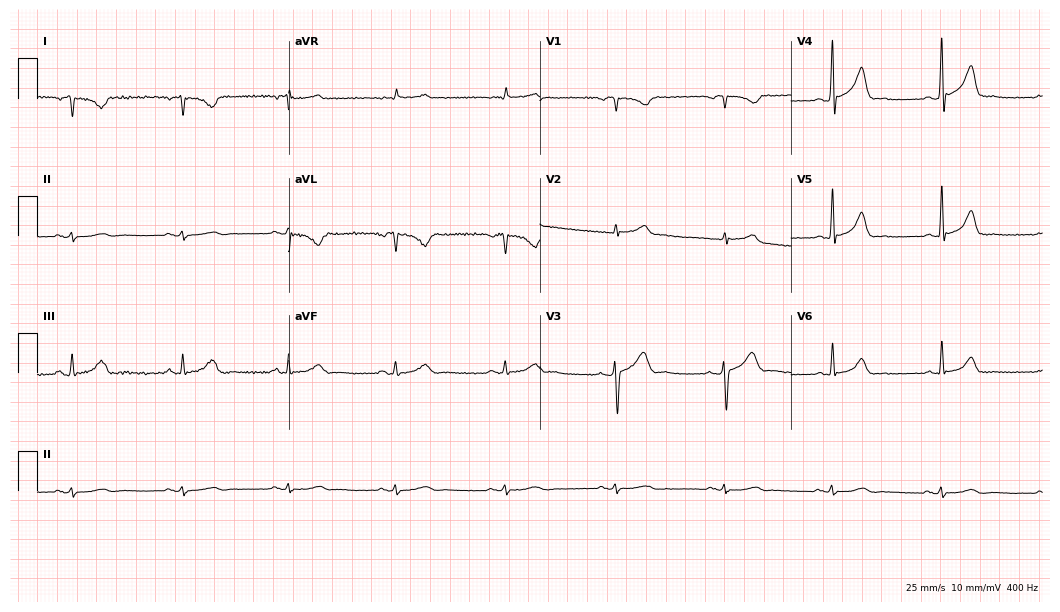
Resting 12-lead electrocardiogram (10.2-second recording at 400 Hz). Patient: a male, 46 years old. None of these six findings is recorded: first-degree AV block, right bundle branch block, left bundle branch block, sinus bradycardia, atrial fibrillation, sinus tachycardia.